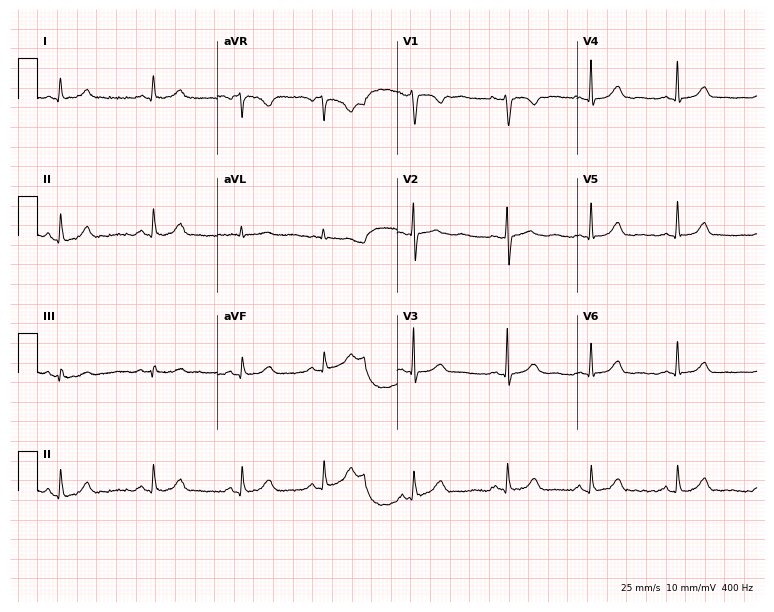
Resting 12-lead electrocardiogram. Patient: a female, 26 years old. None of these six findings is recorded: first-degree AV block, right bundle branch block, left bundle branch block, sinus bradycardia, atrial fibrillation, sinus tachycardia. Only these six findings were labelled.